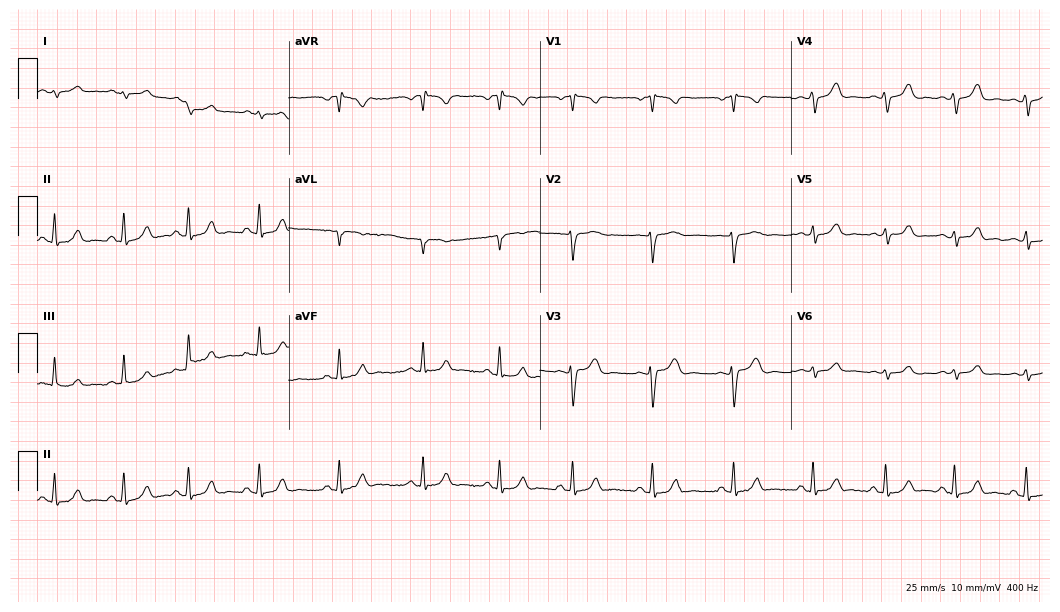
12-lead ECG from a female patient, 17 years old. No first-degree AV block, right bundle branch block, left bundle branch block, sinus bradycardia, atrial fibrillation or sinus tachycardia recorded for this tracing. Findings outside these six are not listed.